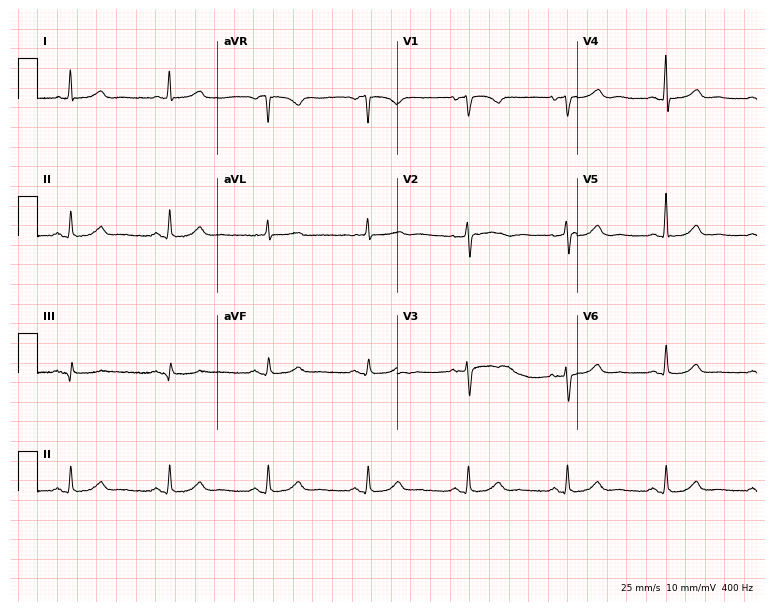
Resting 12-lead electrocardiogram (7.3-second recording at 400 Hz). Patient: a 79-year-old woman. Read as a normal ECG.